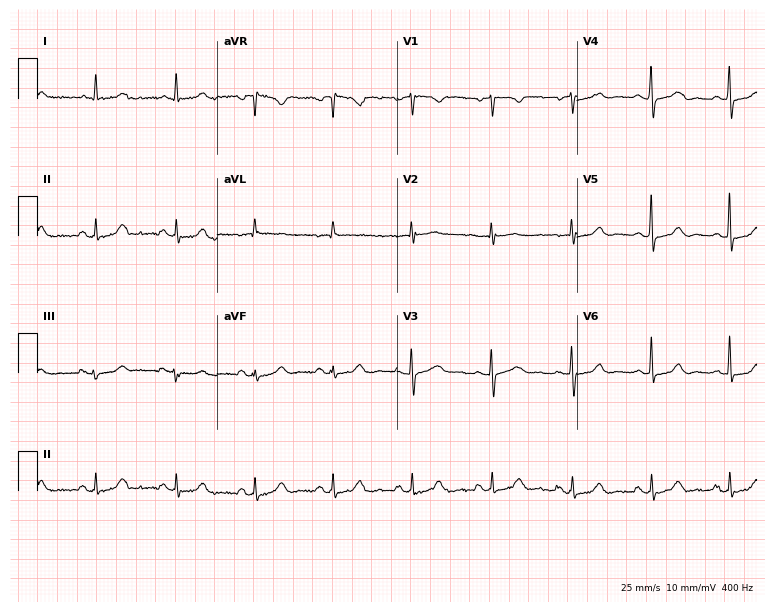
Electrocardiogram (7.3-second recording at 400 Hz), a female patient, 65 years old. Overall reading on record: normal ECG.